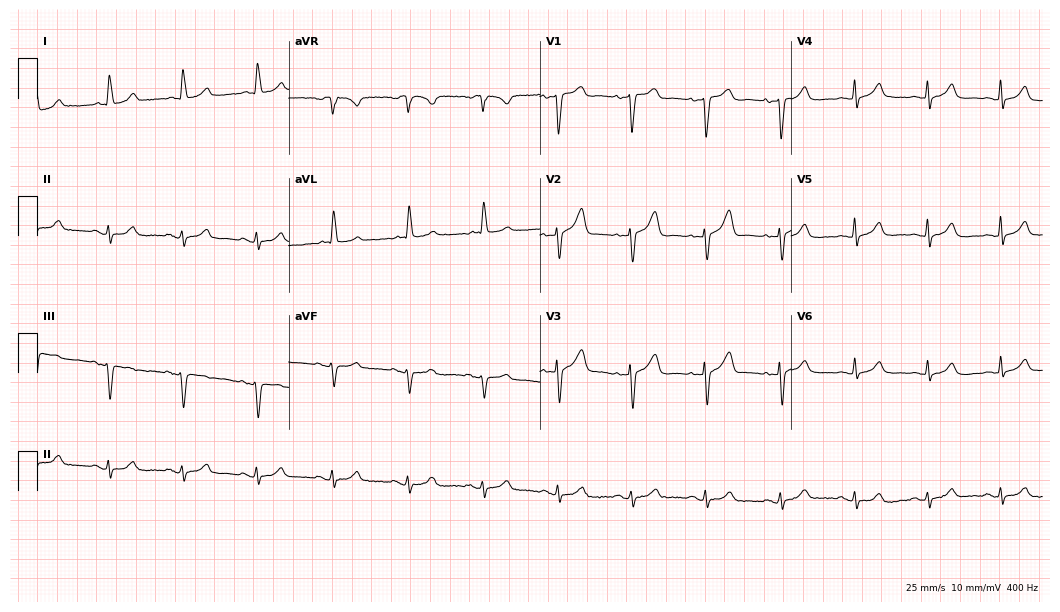
Standard 12-lead ECG recorded from an 81-year-old female. Read as a normal ECG.